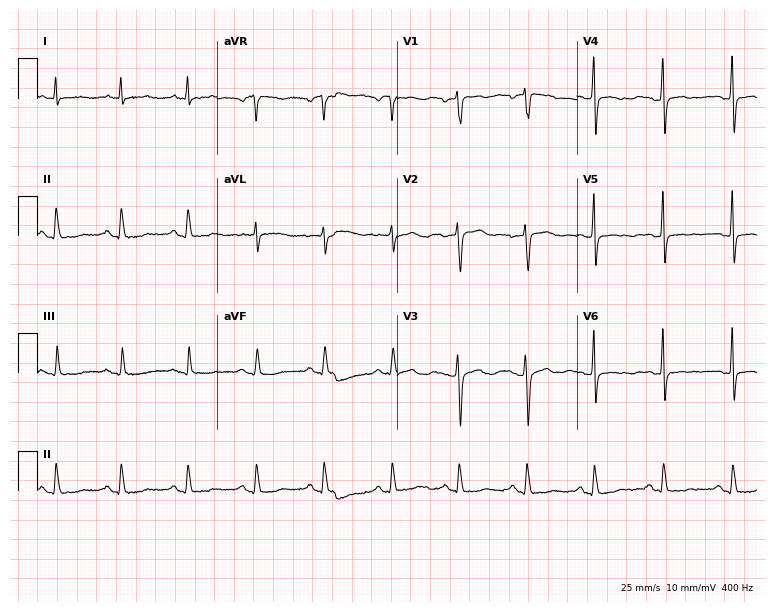
12-lead ECG from a 46-year-old woman (7.3-second recording at 400 Hz). No first-degree AV block, right bundle branch block, left bundle branch block, sinus bradycardia, atrial fibrillation or sinus tachycardia recorded for this tracing.